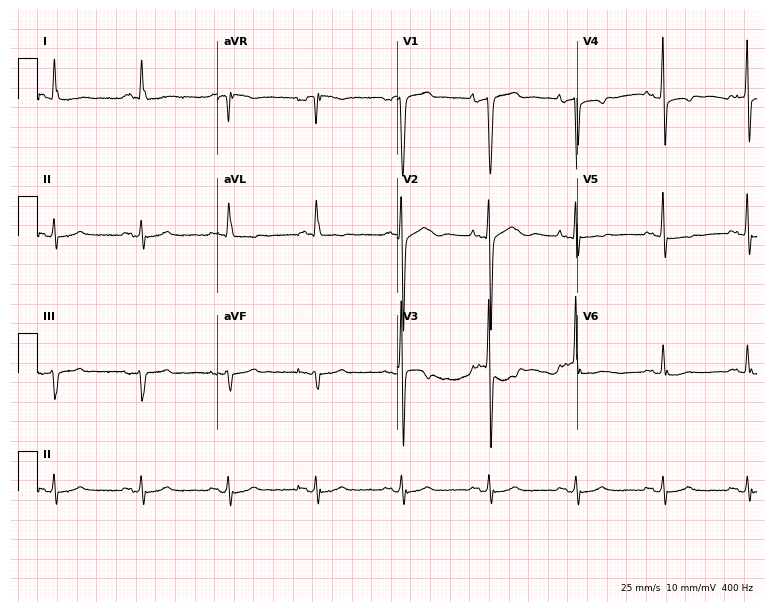
ECG — a male patient, 74 years old. Screened for six findings — first-degree AV block, right bundle branch block, left bundle branch block, sinus bradycardia, atrial fibrillation, sinus tachycardia — none is recorded. Other findings, if any, are not listed.